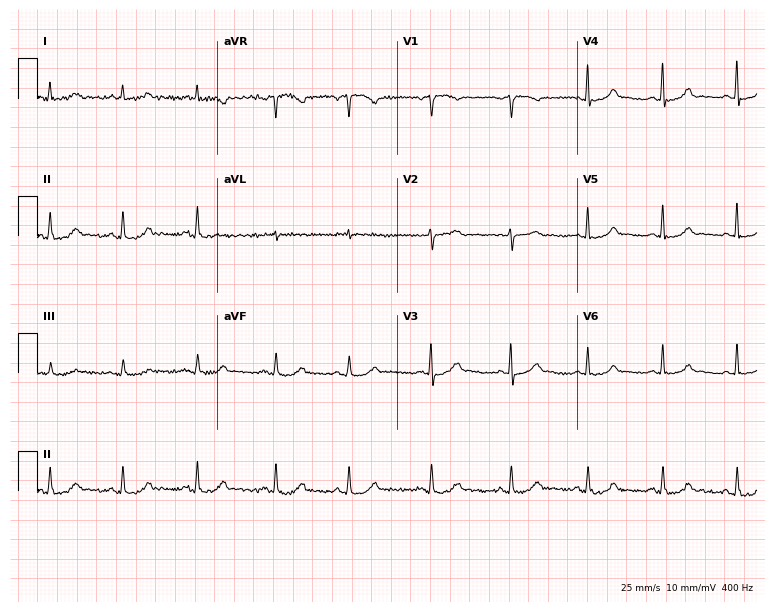
Electrocardiogram (7.3-second recording at 400 Hz), a woman, 58 years old. Overall reading on record: normal ECG.